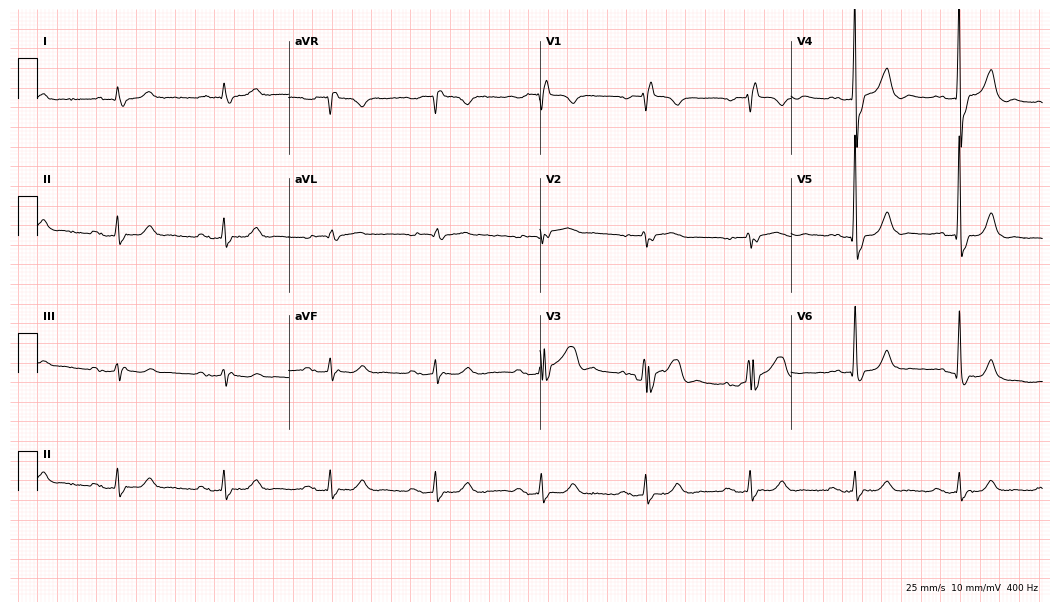
Electrocardiogram (10.2-second recording at 400 Hz), a 78-year-old man. Interpretation includes right bundle branch block.